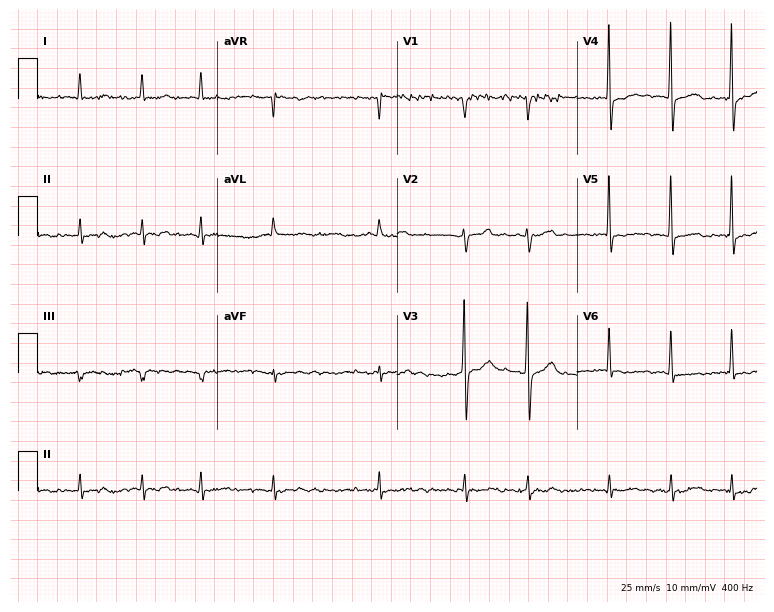
Electrocardiogram, a 74-year-old man. Interpretation includes atrial fibrillation.